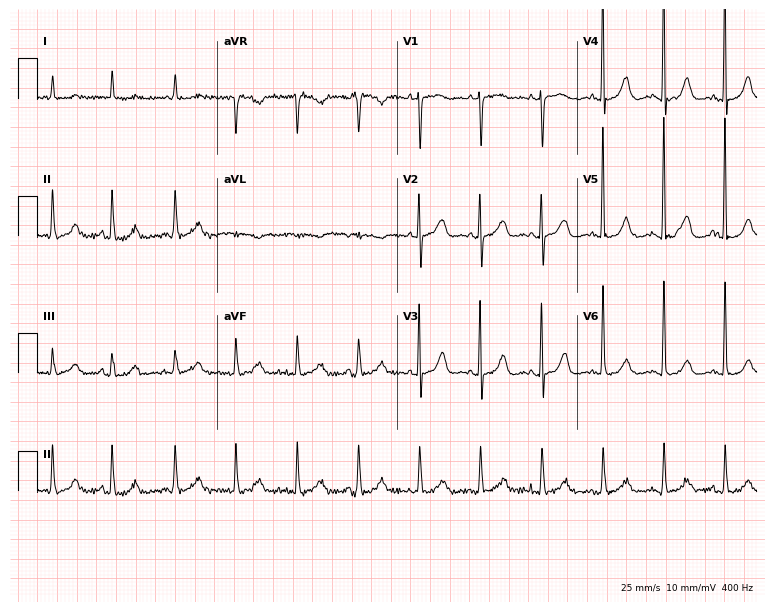
ECG (7.3-second recording at 400 Hz) — an 85-year-old female. Screened for six findings — first-degree AV block, right bundle branch block (RBBB), left bundle branch block (LBBB), sinus bradycardia, atrial fibrillation (AF), sinus tachycardia — none is recorded. Only these six findings were labelled.